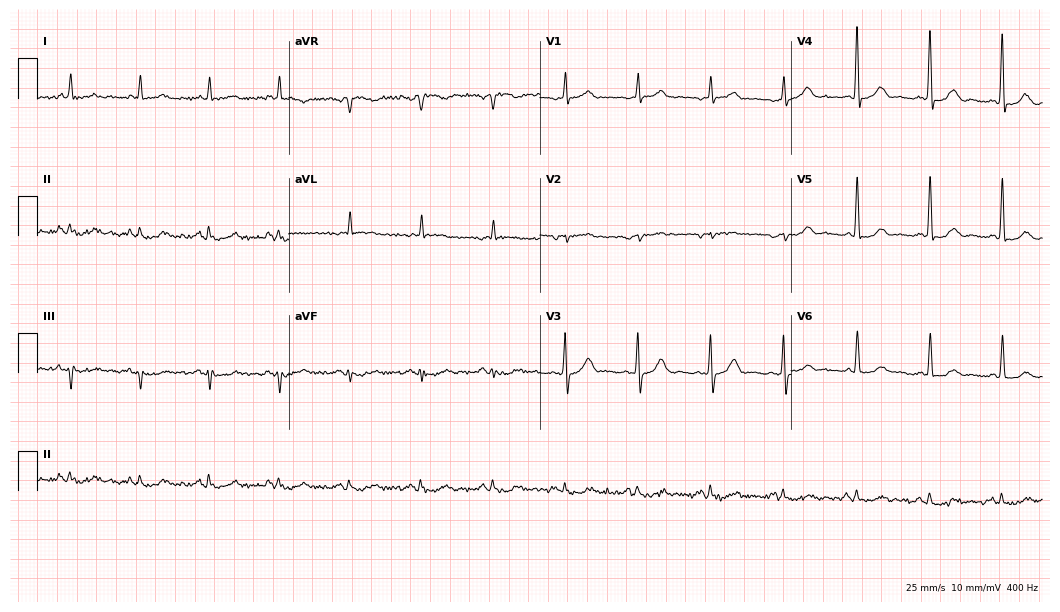
12-lead ECG from a male patient, 85 years old (10.2-second recording at 400 Hz). No first-degree AV block, right bundle branch block, left bundle branch block, sinus bradycardia, atrial fibrillation or sinus tachycardia recorded for this tracing.